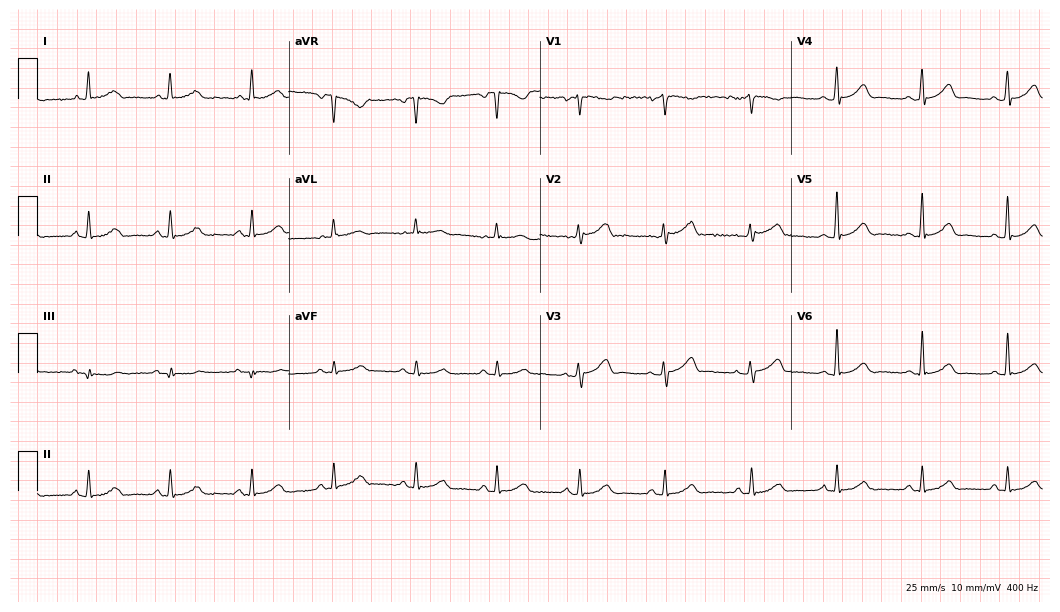
12-lead ECG from a 62-year-old female. Labelled as a normal ECG.